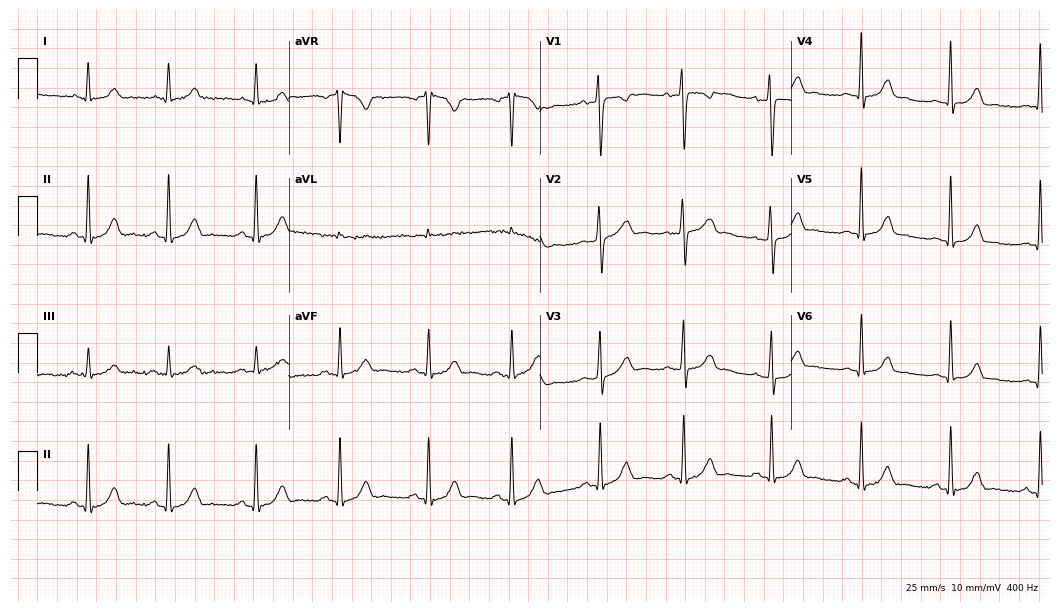
Standard 12-lead ECG recorded from a 24-year-old female patient. Read as a normal ECG.